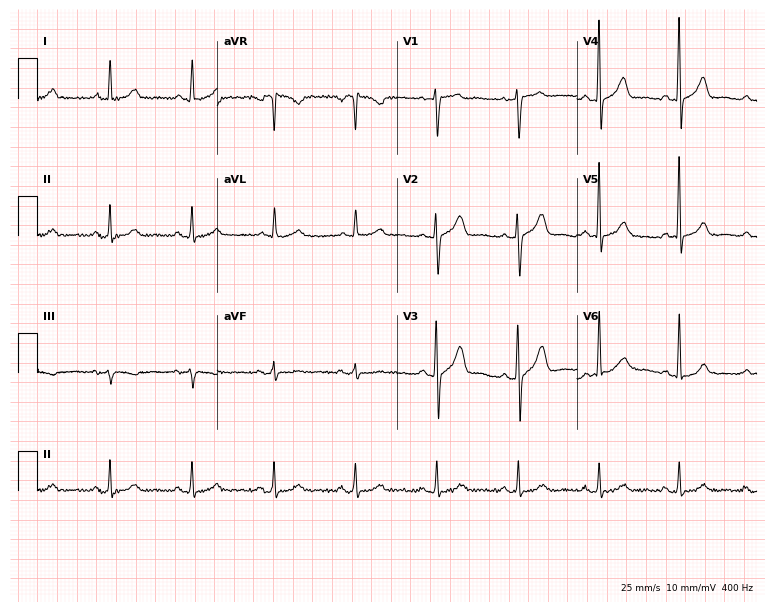
Standard 12-lead ECG recorded from a 58-year-old man. Read as a normal ECG.